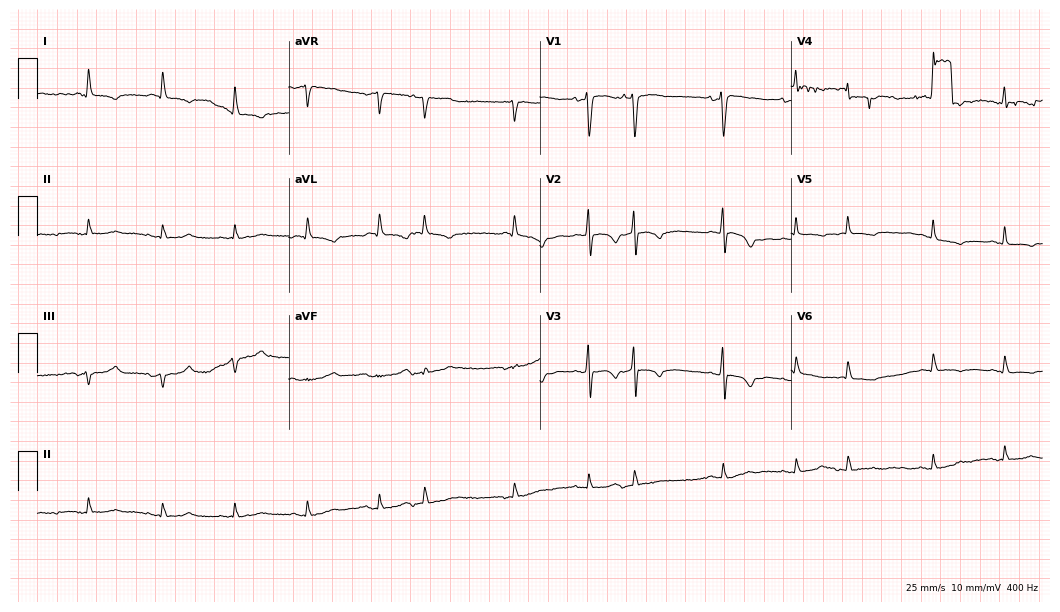
Standard 12-lead ECG recorded from a woman, 75 years old (10.2-second recording at 400 Hz). None of these six findings is recorded: first-degree AV block, right bundle branch block, left bundle branch block, sinus bradycardia, atrial fibrillation, sinus tachycardia.